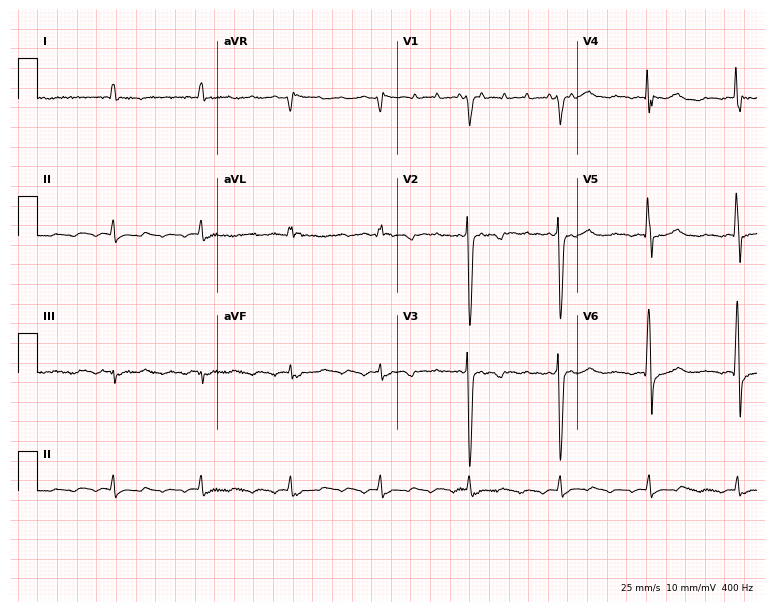
Standard 12-lead ECG recorded from an 81-year-old male (7.3-second recording at 400 Hz). None of these six findings is recorded: first-degree AV block, right bundle branch block, left bundle branch block, sinus bradycardia, atrial fibrillation, sinus tachycardia. Only these six findings were labelled.